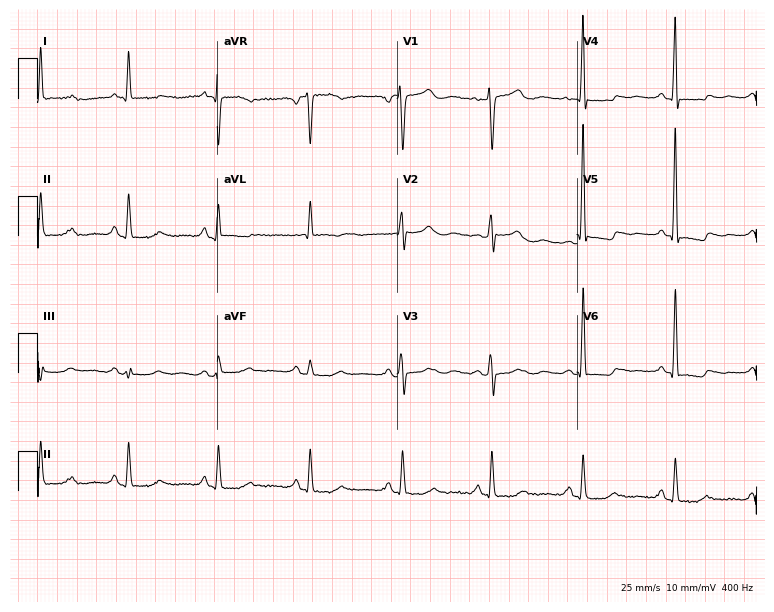
Standard 12-lead ECG recorded from a 66-year-old female patient. None of these six findings is recorded: first-degree AV block, right bundle branch block, left bundle branch block, sinus bradycardia, atrial fibrillation, sinus tachycardia. Findings outside these six are not listed.